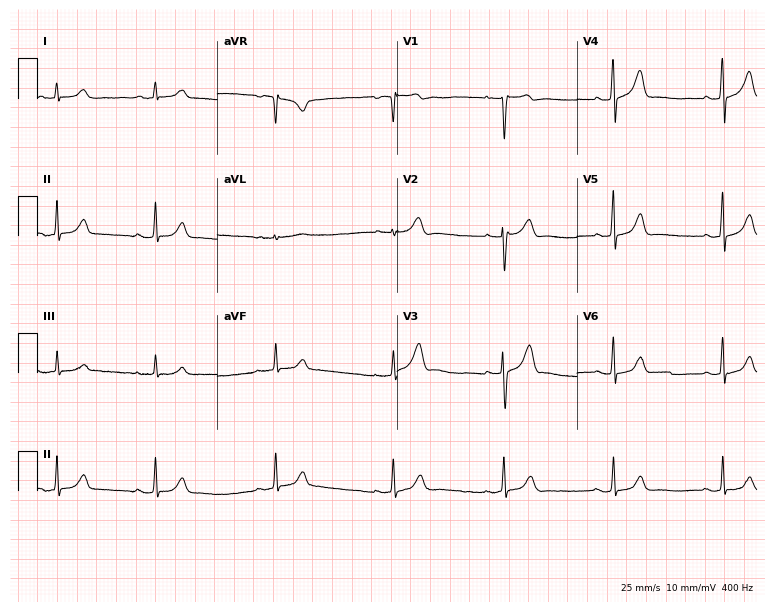
Standard 12-lead ECG recorded from a man, 45 years old (7.3-second recording at 400 Hz). Read as a normal ECG.